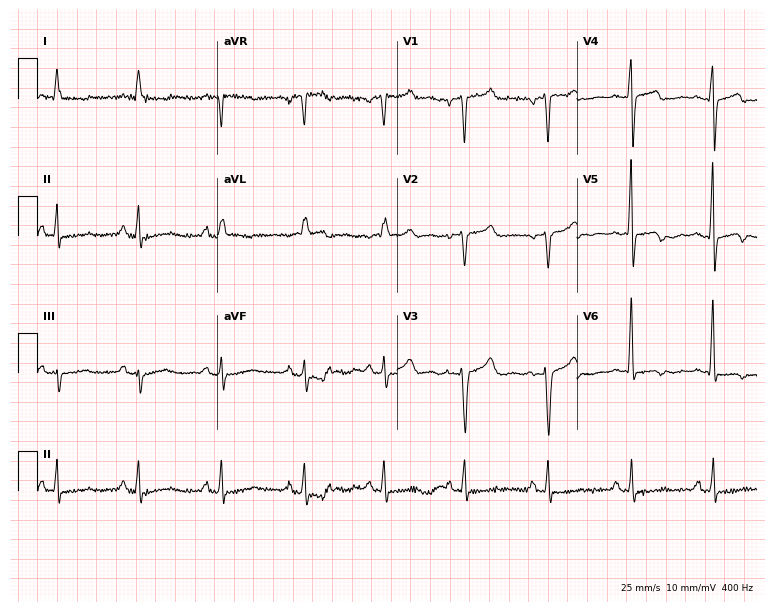
Standard 12-lead ECG recorded from a 59-year-old man (7.3-second recording at 400 Hz). None of these six findings is recorded: first-degree AV block, right bundle branch block, left bundle branch block, sinus bradycardia, atrial fibrillation, sinus tachycardia. Only these six findings were labelled.